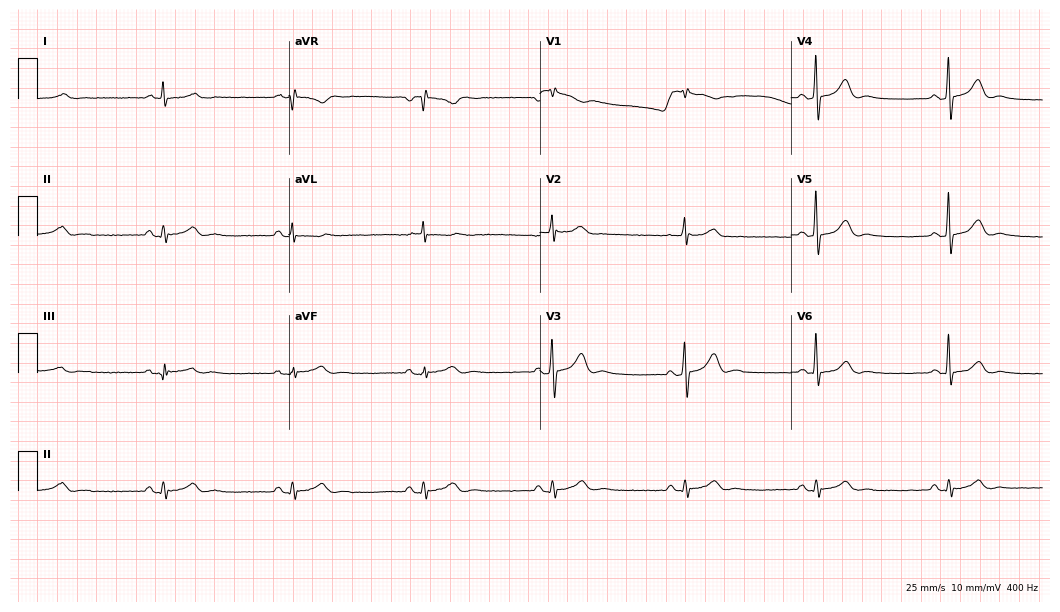
Standard 12-lead ECG recorded from a male patient, 59 years old. The tracing shows sinus bradycardia (a sinus rate of 50 beats per minute or less).